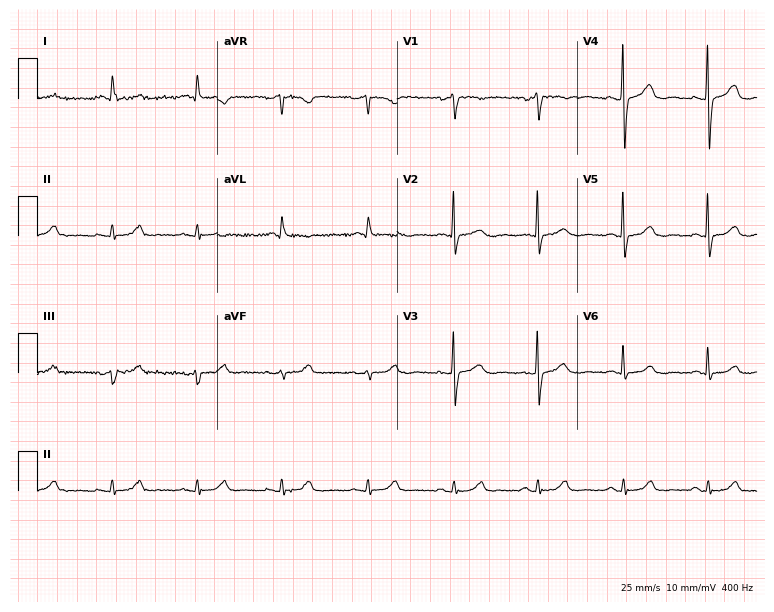
Electrocardiogram, a female, 65 years old. Overall reading on record: normal ECG.